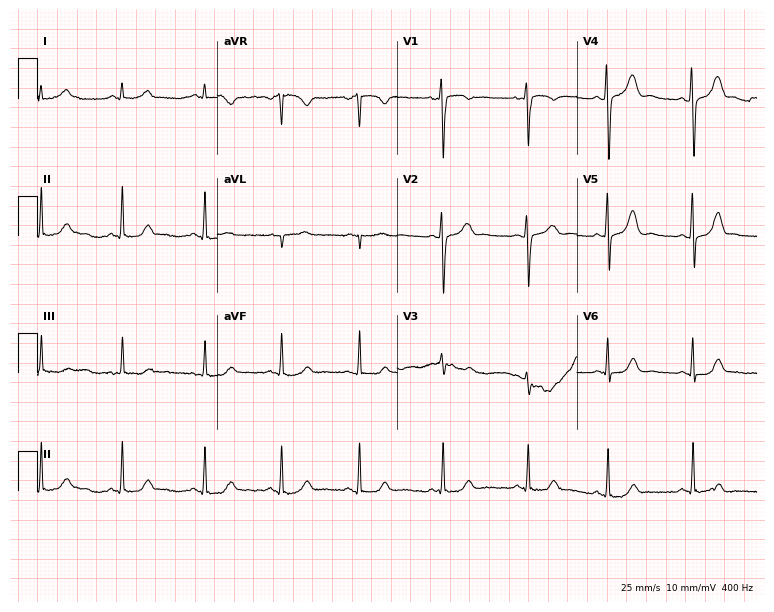
ECG — a 30-year-old female patient. Labelled as a normal ECG.